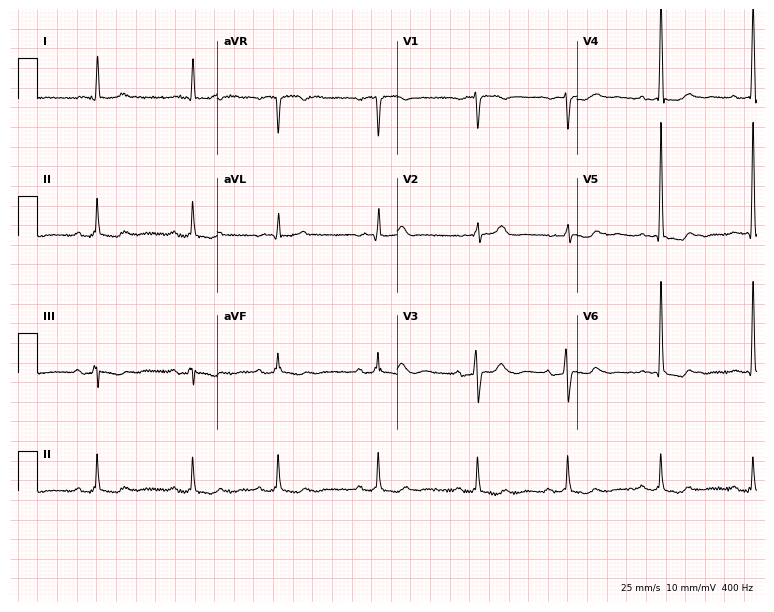
Standard 12-lead ECG recorded from an 82-year-old woman. None of these six findings is recorded: first-degree AV block, right bundle branch block, left bundle branch block, sinus bradycardia, atrial fibrillation, sinus tachycardia.